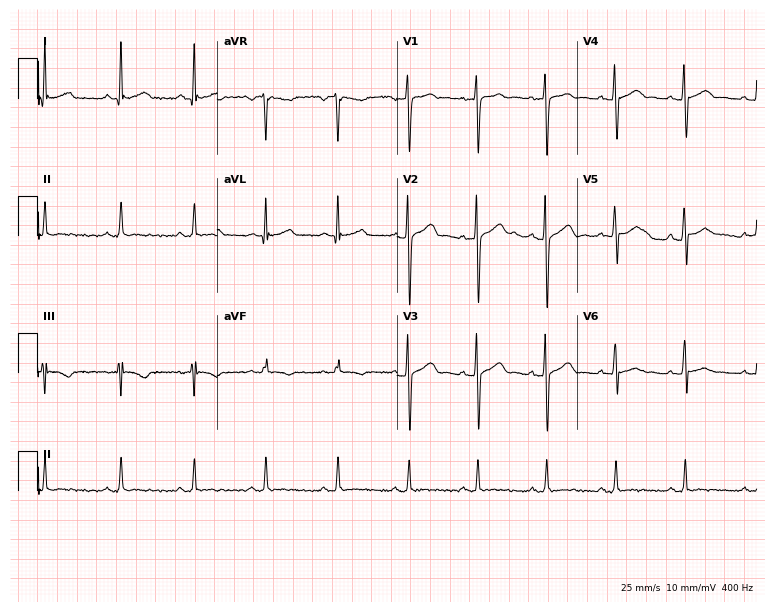
ECG (7.3-second recording at 400 Hz) — a 32-year-old male patient. Screened for six findings — first-degree AV block, right bundle branch block (RBBB), left bundle branch block (LBBB), sinus bradycardia, atrial fibrillation (AF), sinus tachycardia — none is recorded.